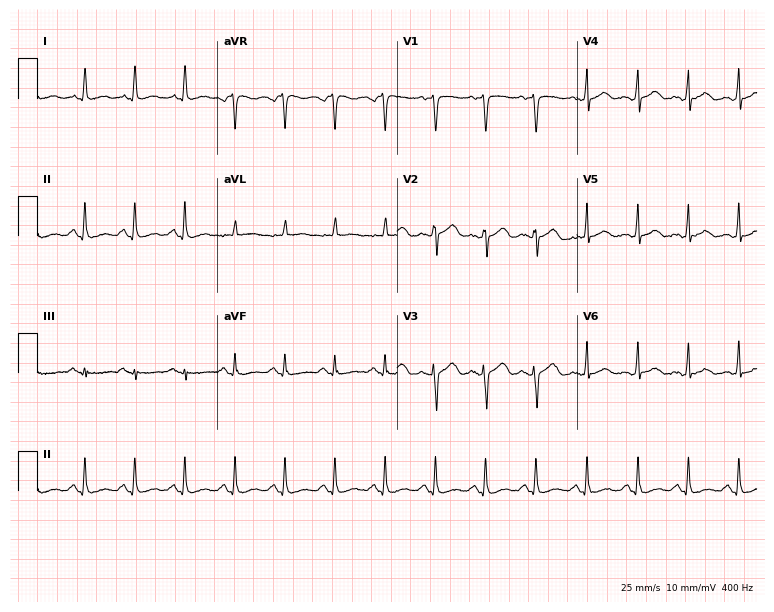
Electrocardiogram, a female, 51 years old. Interpretation includes sinus tachycardia (a sinus rate of 100 beats per minute or more).